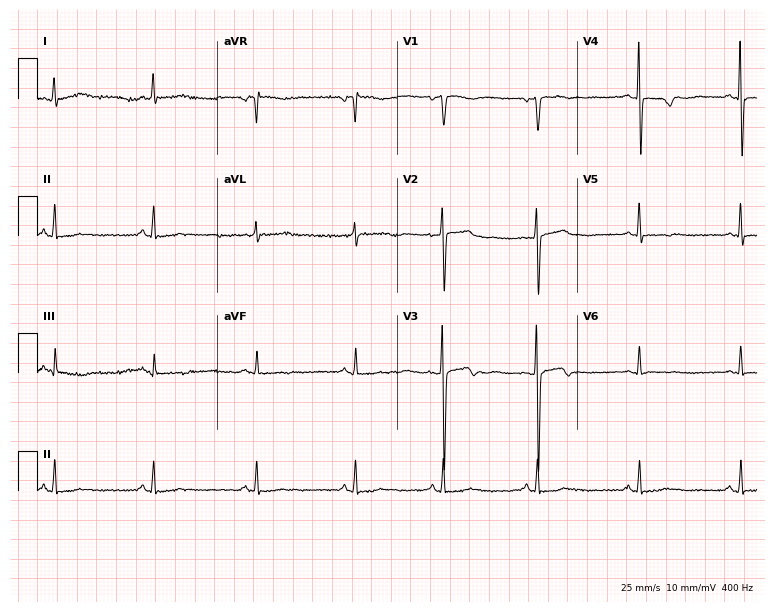
ECG — a female patient, 52 years old. Screened for six findings — first-degree AV block, right bundle branch block, left bundle branch block, sinus bradycardia, atrial fibrillation, sinus tachycardia — none is recorded.